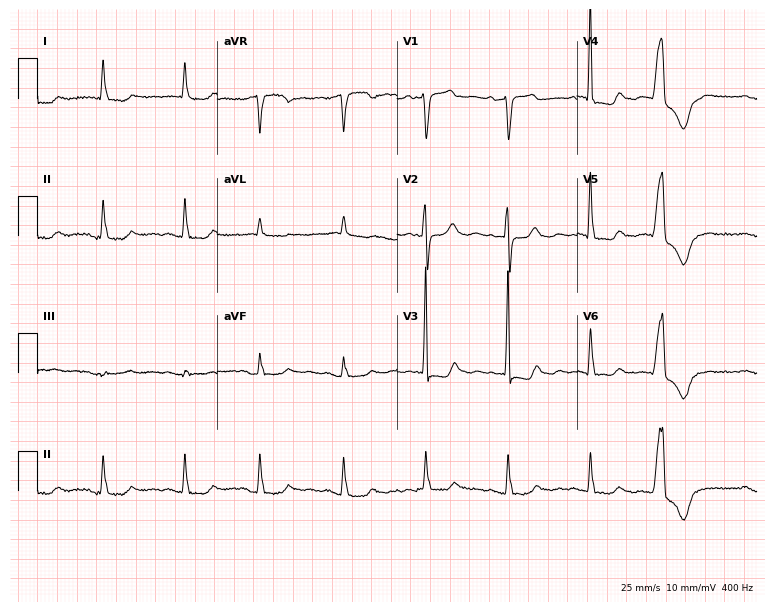
Standard 12-lead ECG recorded from a 66-year-old female. None of these six findings is recorded: first-degree AV block, right bundle branch block (RBBB), left bundle branch block (LBBB), sinus bradycardia, atrial fibrillation (AF), sinus tachycardia.